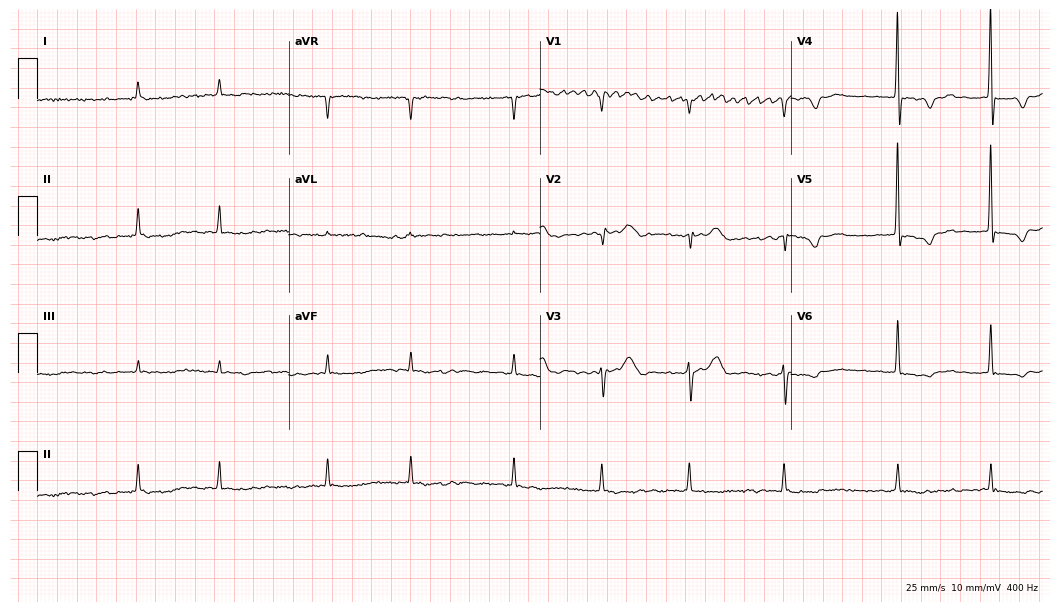
ECG — an 85-year-old woman. Findings include atrial fibrillation.